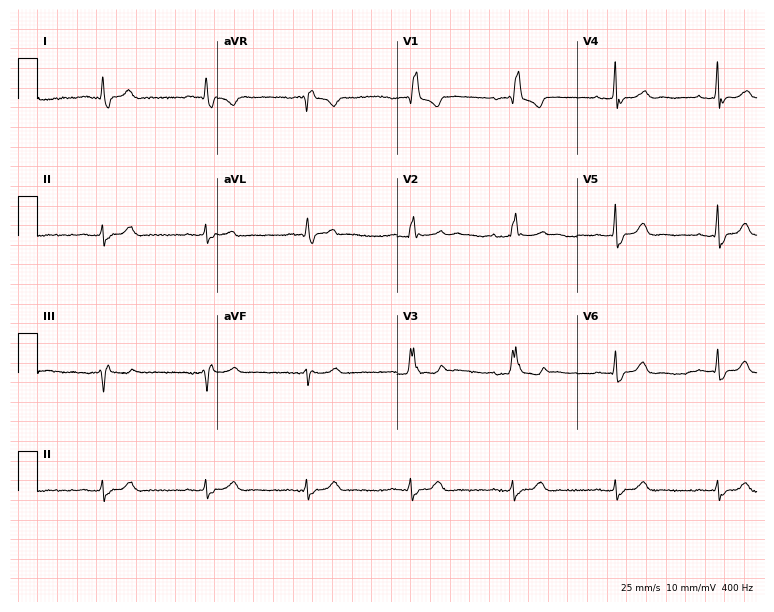
ECG (7.3-second recording at 400 Hz) — a 72-year-old male patient. Findings include right bundle branch block.